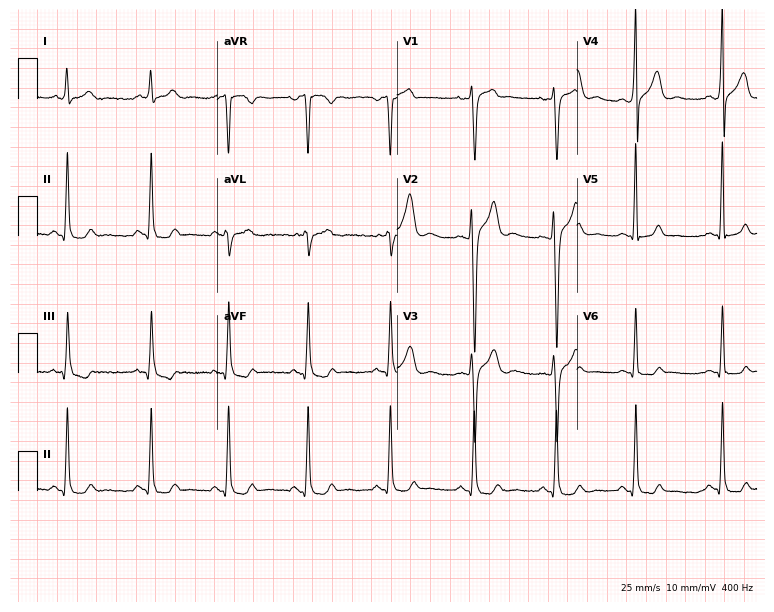
Electrocardiogram (7.3-second recording at 400 Hz), a female, 24 years old. Overall reading on record: normal ECG.